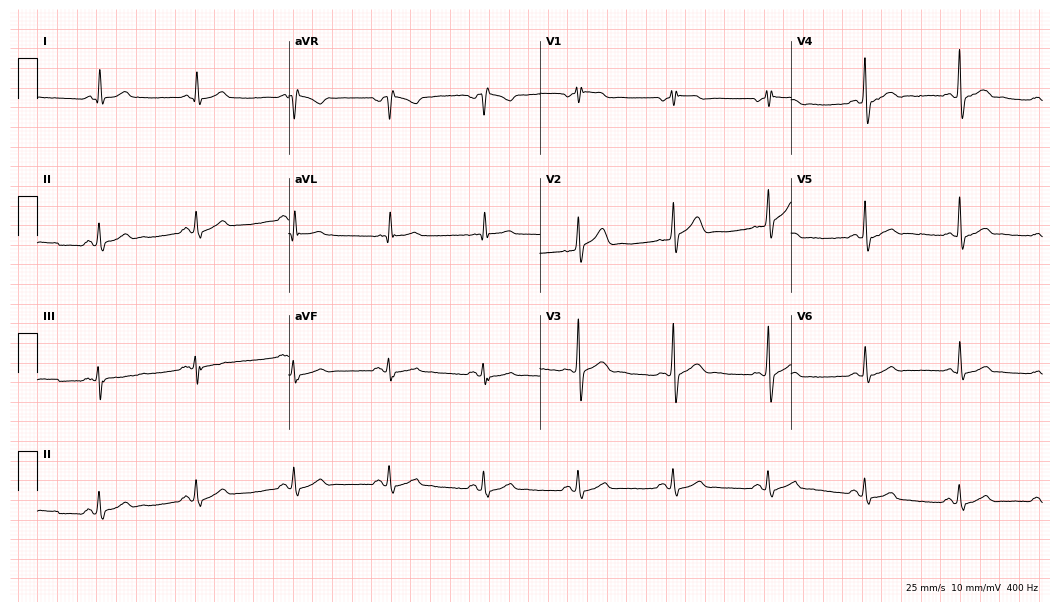
12-lead ECG from a male, 63 years old (10.2-second recording at 400 Hz). No first-degree AV block, right bundle branch block, left bundle branch block, sinus bradycardia, atrial fibrillation or sinus tachycardia recorded for this tracing. Only these six findings were labelled.